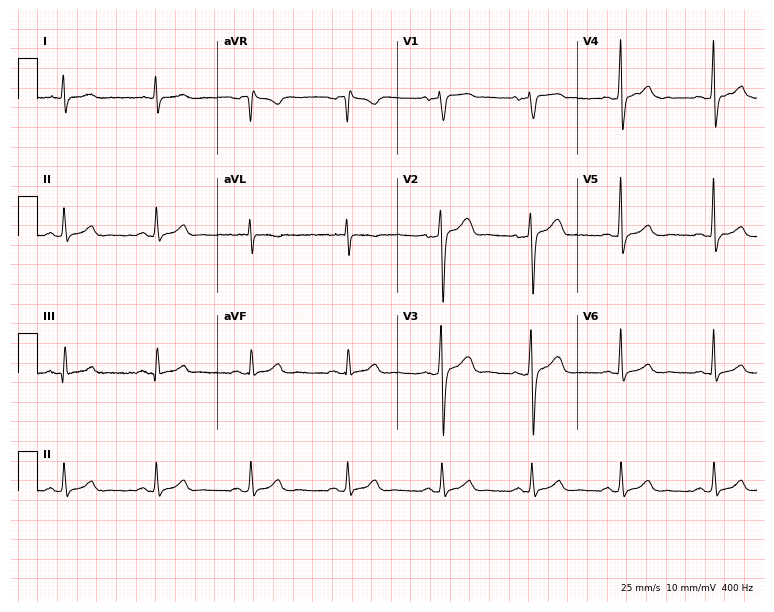
12-lead ECG from a 40-year-old man (7.3-second recording at 400 Hz). No first-degree AV block, right bundle branch block, left bundle branch block, sinus bradycardia, atrial fibrillation or sinus tachycardia recorded for this tracing. Only these six findings were labelled.